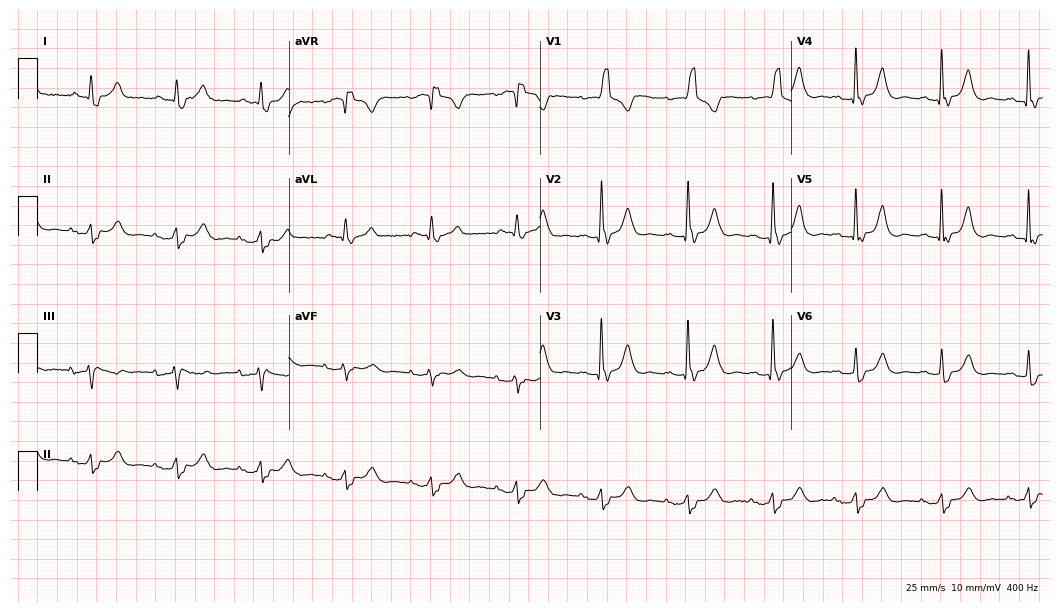
12-lead ECG (10.2-second recording at 400 Hz) from a 77-year-old female patient. Findings include right bundle branch block.